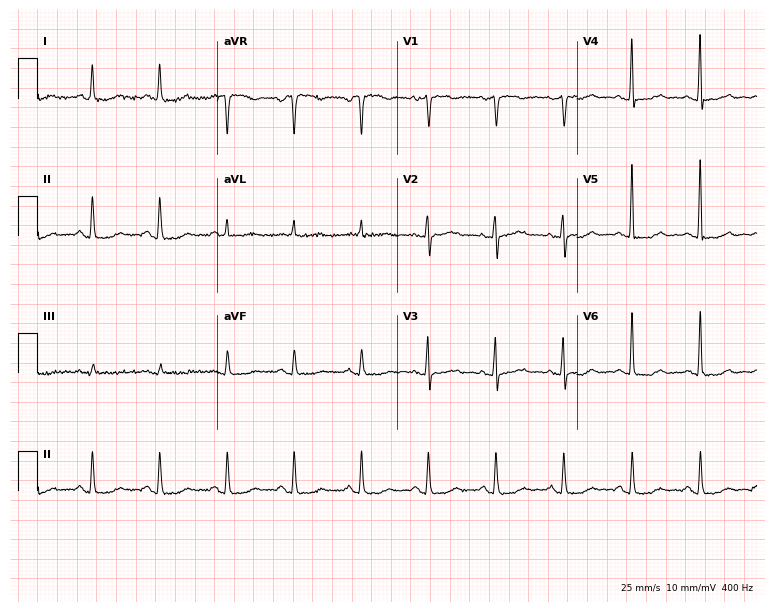
12-lead ECG from a woman, 69 years old. Recorded interpretation: within normal limits.